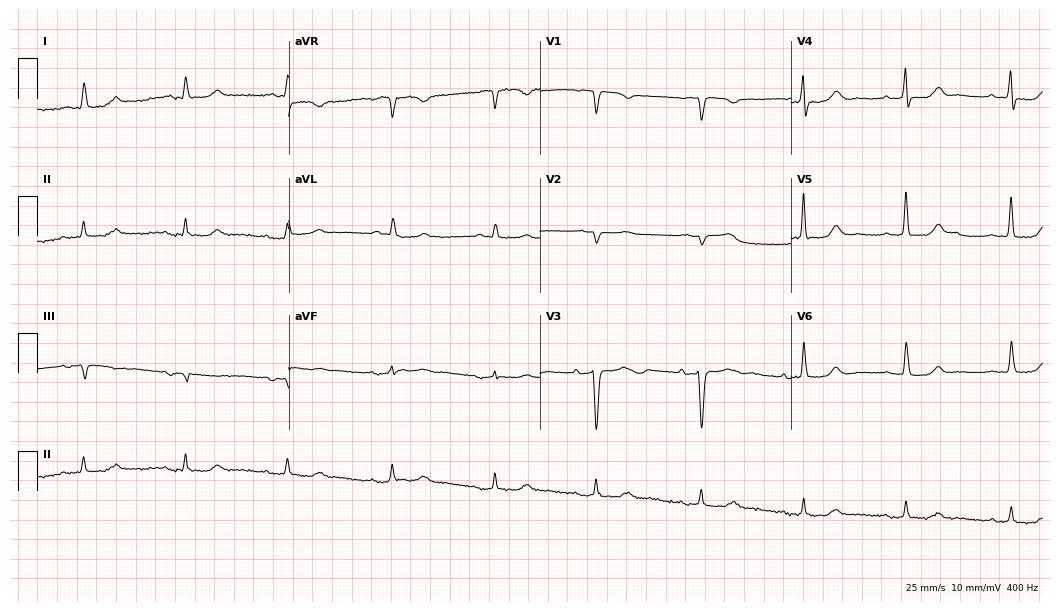
Standard 12-lead ECG recorded from an 80-year-old male patient. Read as a normal ECG.